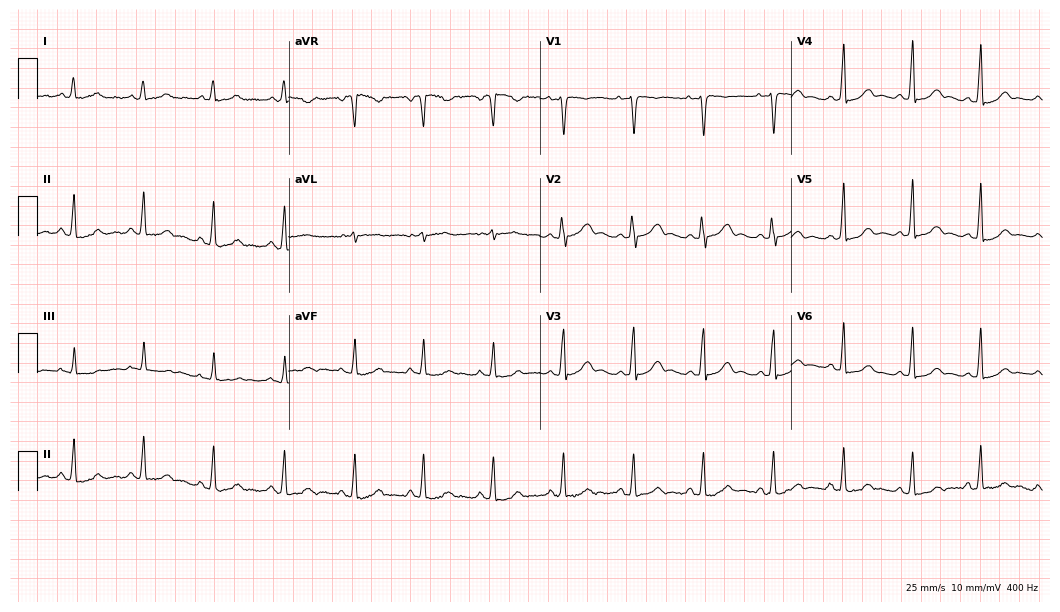
12-lead ECG (10.2-second recording at 400 Hz) from a 27-year-old female patient. Labelled as a normal ECG.